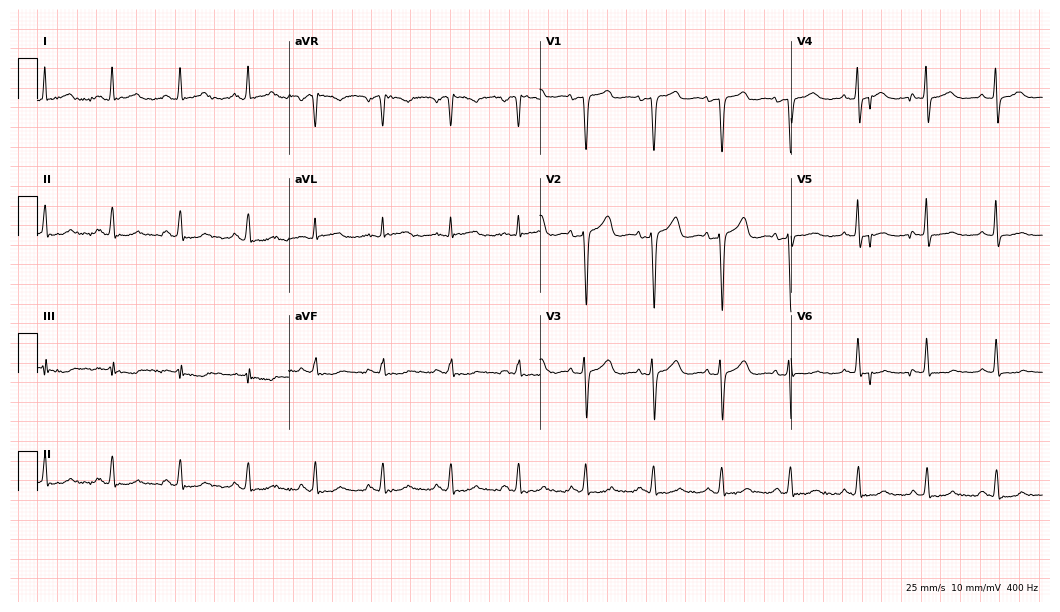
12-lead ECG from a woman, 47 years old. No first-degree AV block, right bundle branch block (RBBB), left bundle branch block (LBBB), sinus bradycardia, atrial fibrillation (AF) or sinus tachycardia recorded for this tracing.